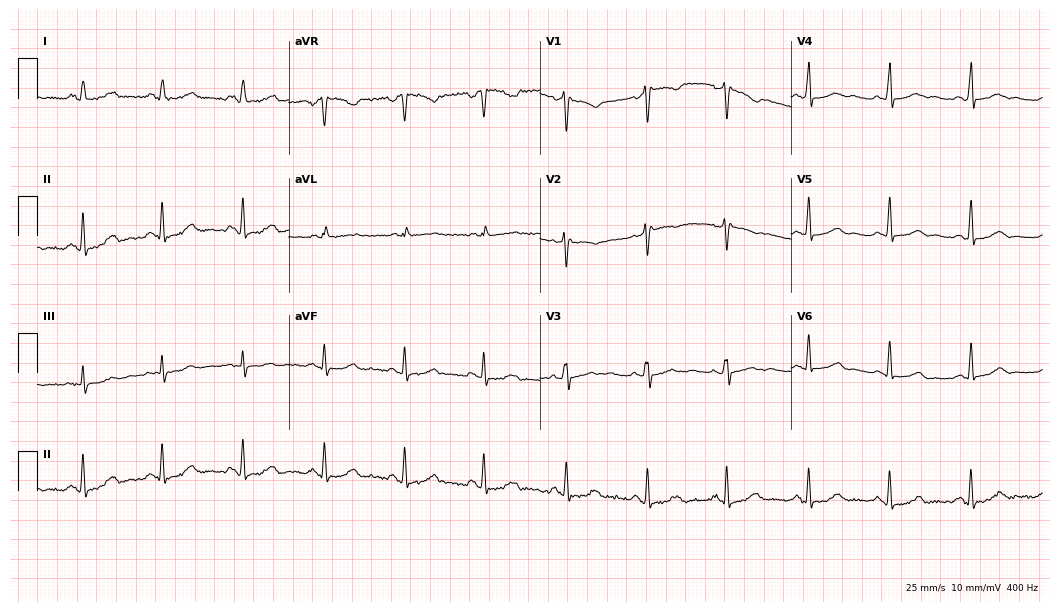
ECG — a 44-year-old woman. Labelled as a normal ECG.